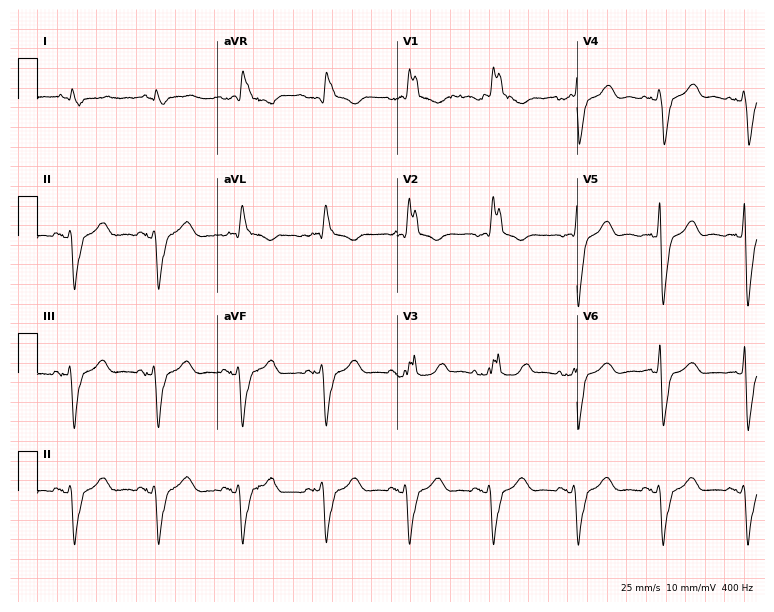
Electrocardiogram (7.3-second recording at 400 Hz), a 61-year-old man. Of the six screened findings (first-degree AV block, right bundle branch block, left bundle branch block, sinus bradycardia, atrial fibrillation, sinus tachycardia), none is recorded. Findings outside these six are not listed.